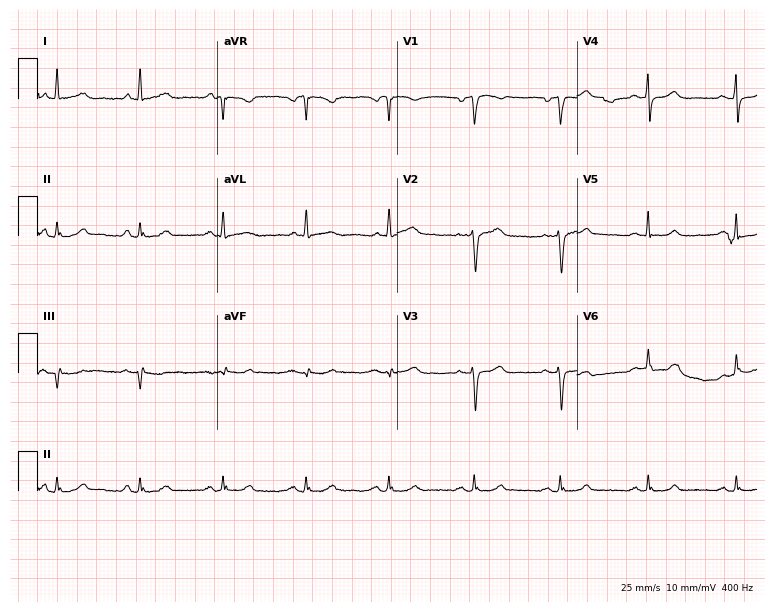
Resting 12-lead electrocardiogram. Patient: a 61-year-old female. Read as a normal ECG.